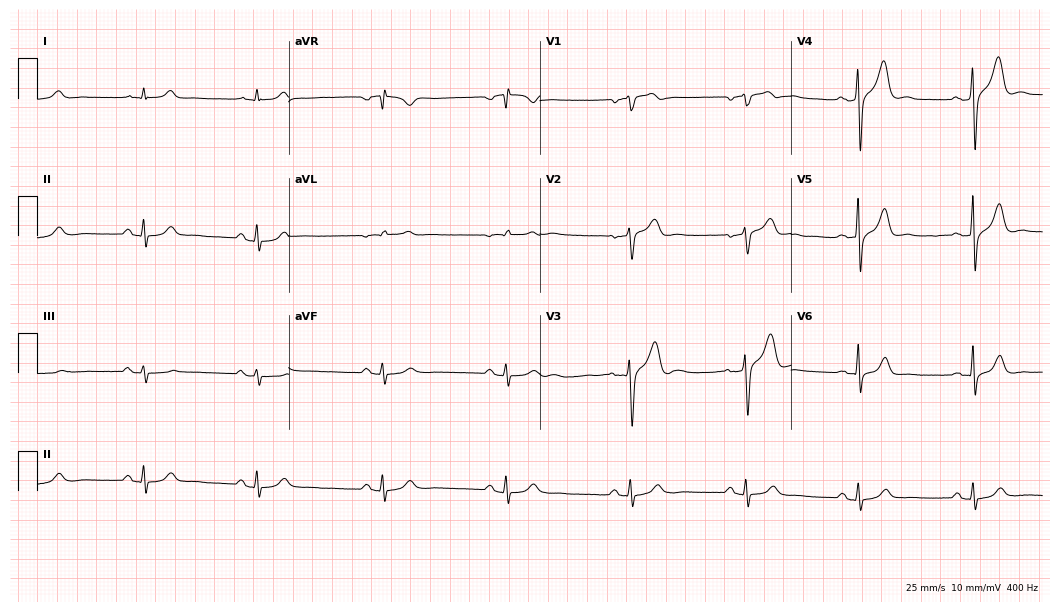
Resting 12-lead electrocardiogram. Patient: a 49-year-old male. Read as a normal ECG.